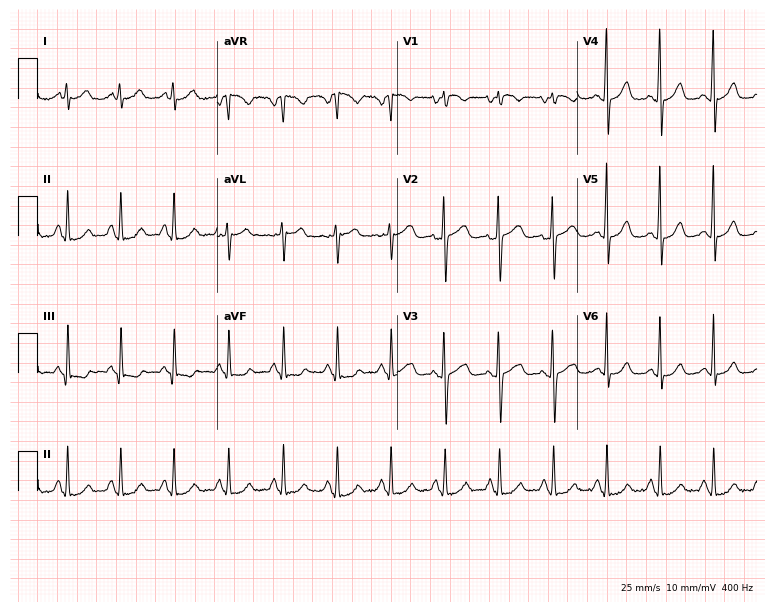
ECG (7.3-second recording at 400 Hz) — a 21-year-old female. Findings include sinus tachycardia (a sinus rate of 100 beats per minute or more).